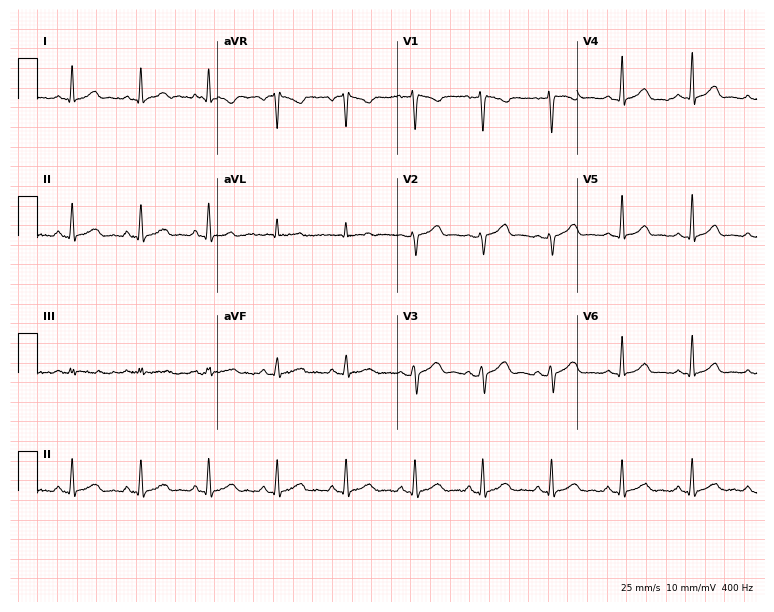
12-lead ECG (7.3-second recording at 400 Hz) from a female patient, 46 years old. Labelled as a normal ECG.